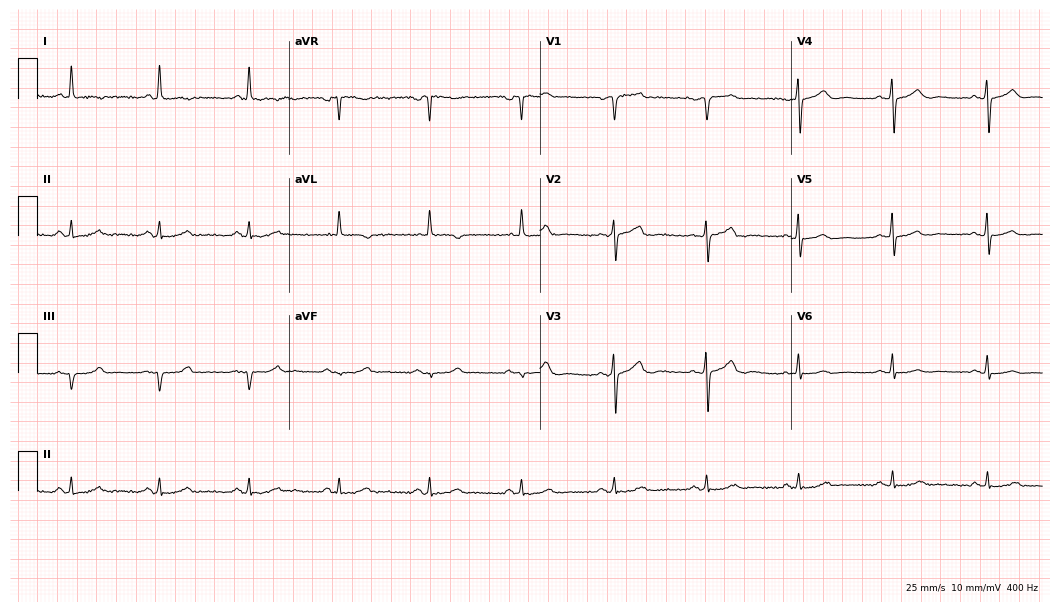
ECG — a 64-year-old female. Labelled as a normal ECG.